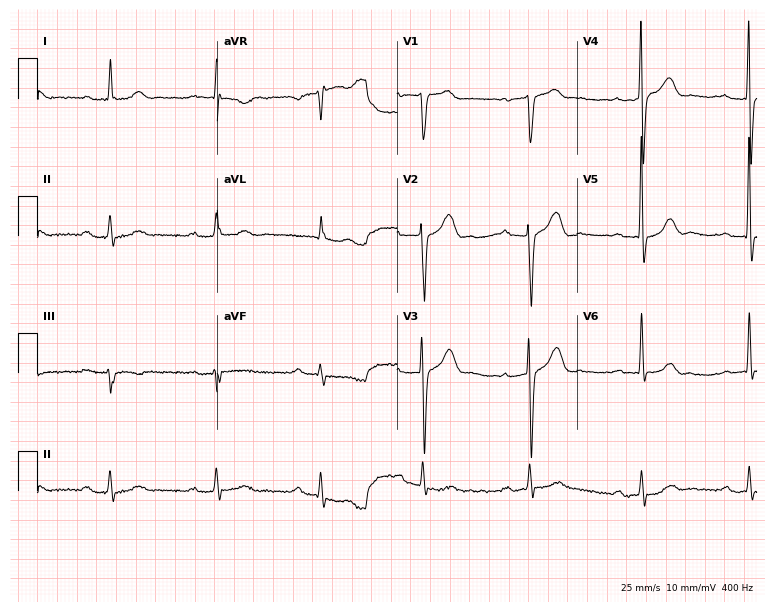
Electrocardiogram, a 78-year-old woman. Interpretation includes first-degree AV block.